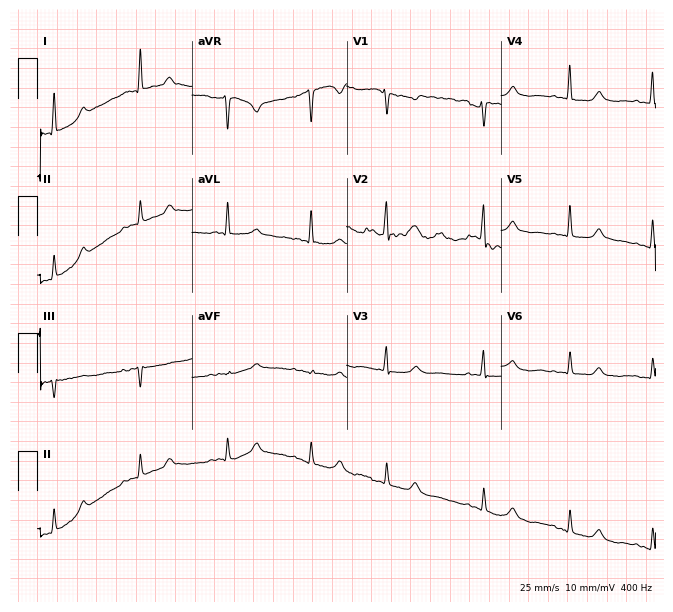
12-lead ECG from a woman, 81 years old. No first-degree AV block, right bundle branch block, left bundle branch block, sinus bradycardia, atrial fibrillation or sinus tachycardia recorded for this tracing.